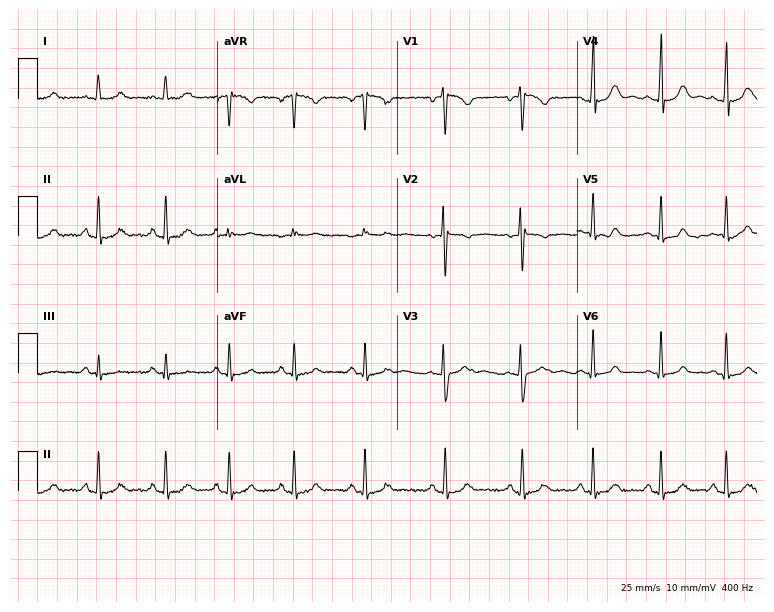
12-lead ECG from a woman, 32 years old. Screened for six findings — first-degree AV block, right bundle branch block, left bundle branch block, sinus bradycardia, atrial fibrillation, sinus tachycardia — none is recorded.